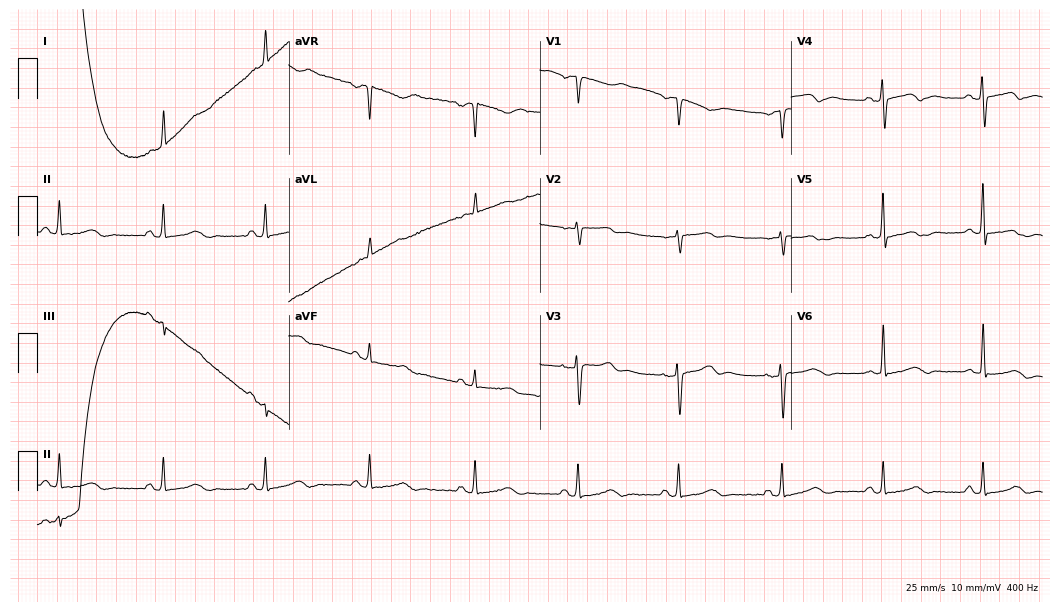
Resting 12-lead electrocardiogram (10.2-second recording at 400 Hz). Patient: a 63-year-old female. Read as a normal ECG.